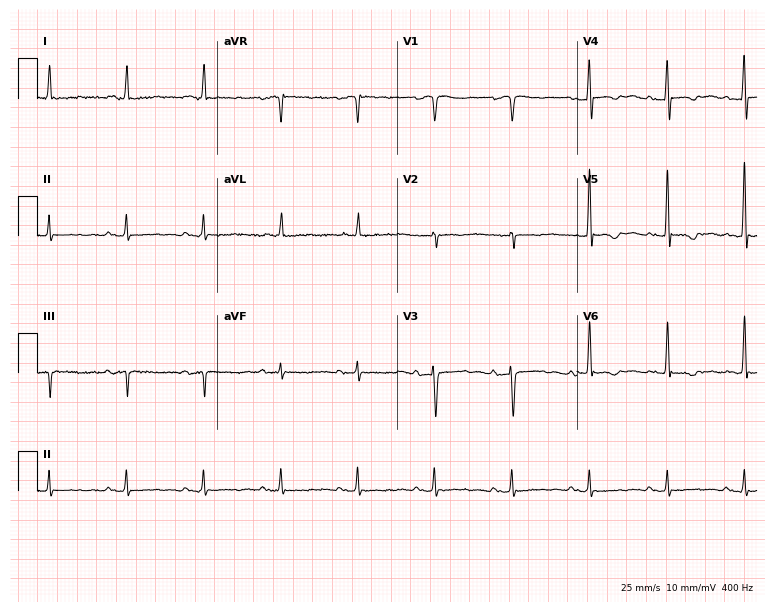
12-lead ECG from a 75-year-old male. Screened for six findings — first-degree AV block, right bundle branch block, left bundle branch block, sinus bradycardia, atrial fibrillation, sinus tachycardia — none is recorded. Findings outside these six are not listed.